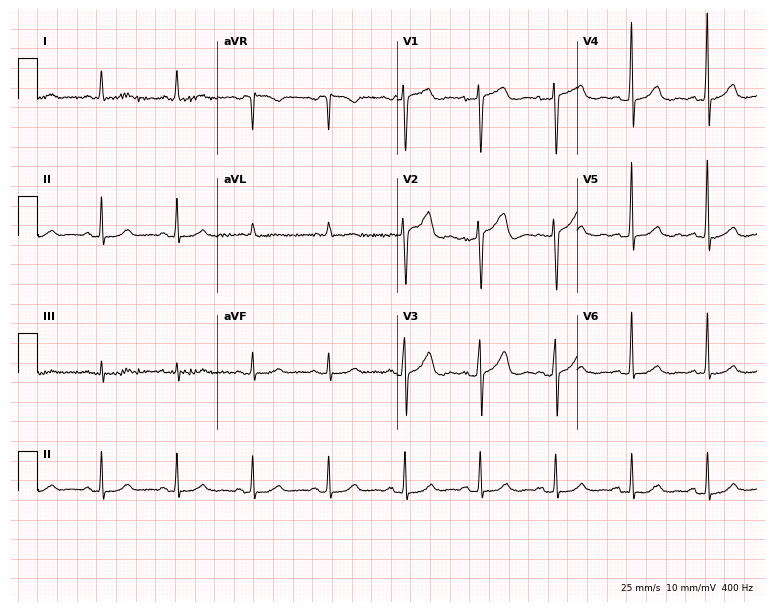
Standard 12-lead ECG recorded from a 77-year-old woman. None of these six findings is recorded: first-degree AV block, right bundle branch block (RBBB), left bundle branch block (LBBB), sinus bradycardia, atrial fibrillation (AF), sinus tachycardia. Findings outside these six are not listed.